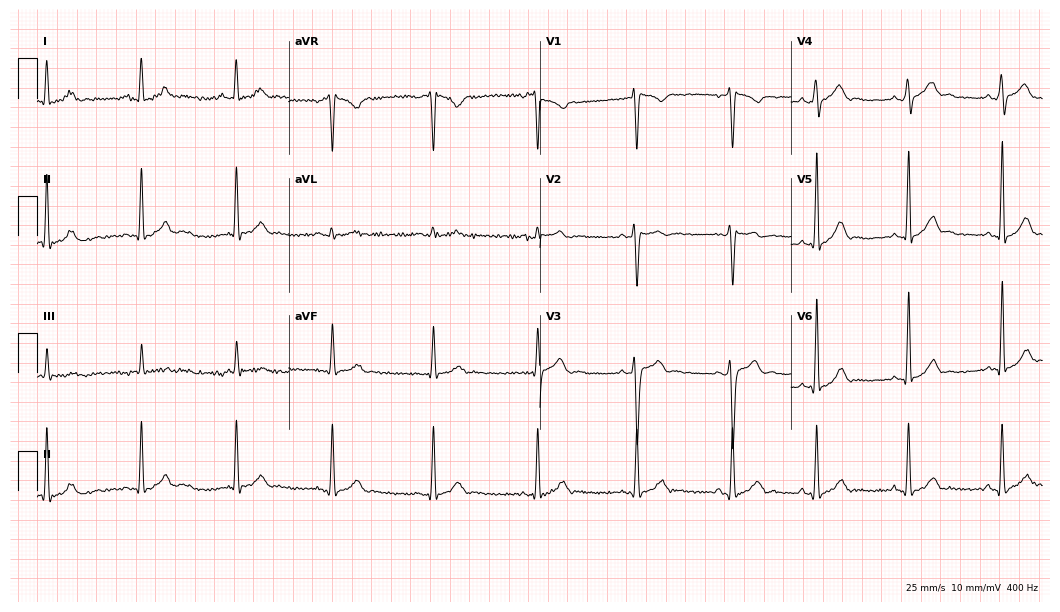
12-lead ECG (10.2-second recording at 400 Hz) from a 19-year-old woman. Screened for six findings — first-degree AV block, right bundle branch block (RBBB), left bundle branch block (LBBB), sinus bradycardia, atrial fibrillation (AF), sinus tachycardia — none is recorded.